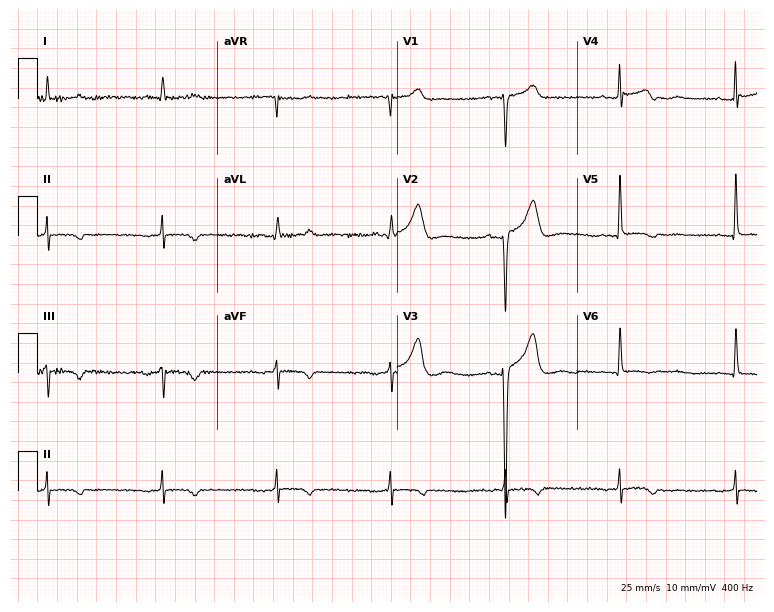
Resting 12-lead electrocardiogram. Patient: a 67-year-old male. None of these six findings is recorded: first-degree AV block, right bundle branch block, left bundle branch block, sinus bradycardia, atrial fibrillation, sinus tachycardia.